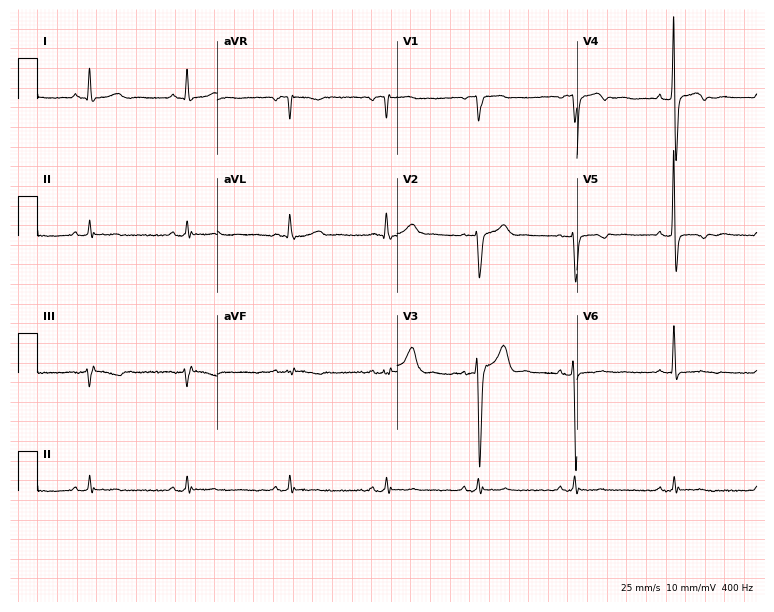
Electrocardiogram, a man, 45 years old. Of the six screened findings (first-degree AV block, right bundle branch block, left bundle branch block, sinus bradycardia, atrial fibrillation, sinus tachycardia), none is recorded.